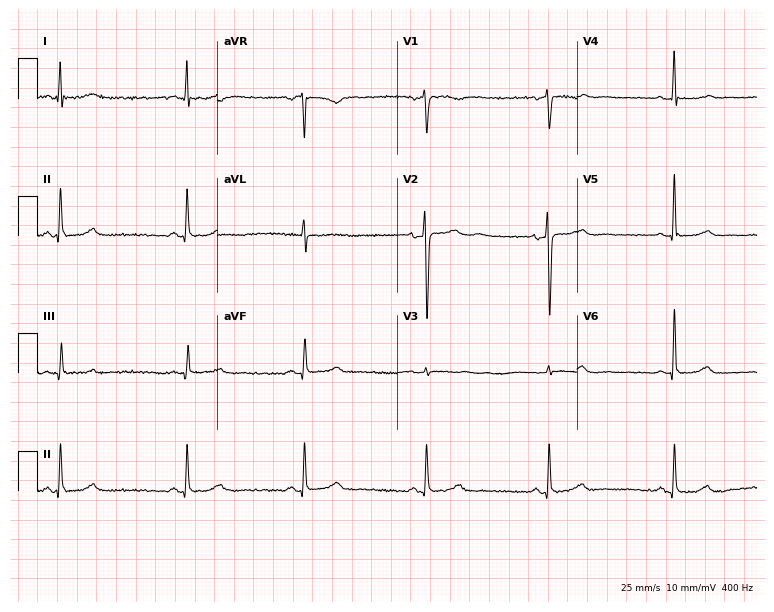
12-lead ECG from a woman, 56 years old. Shows sinus bradycardia (a sinus rate of 50 beats per minute or less).